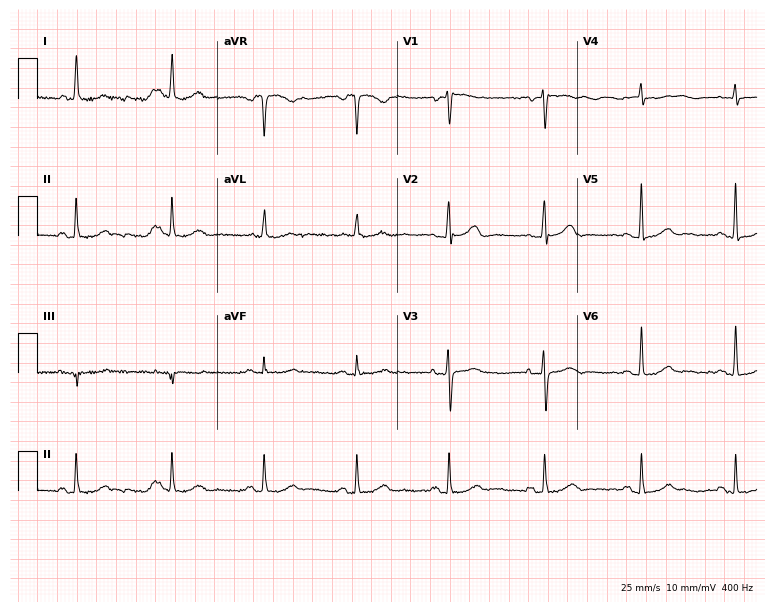
12-lead ECG from a female, 66 years old. Screened for six findings — first-degree AV block, right bundle branch block, left bundle branch block, sinus bradycardia, atrial fibrillation, sinus tachycardia — none is recorded. Other findings, if any, are not listed.